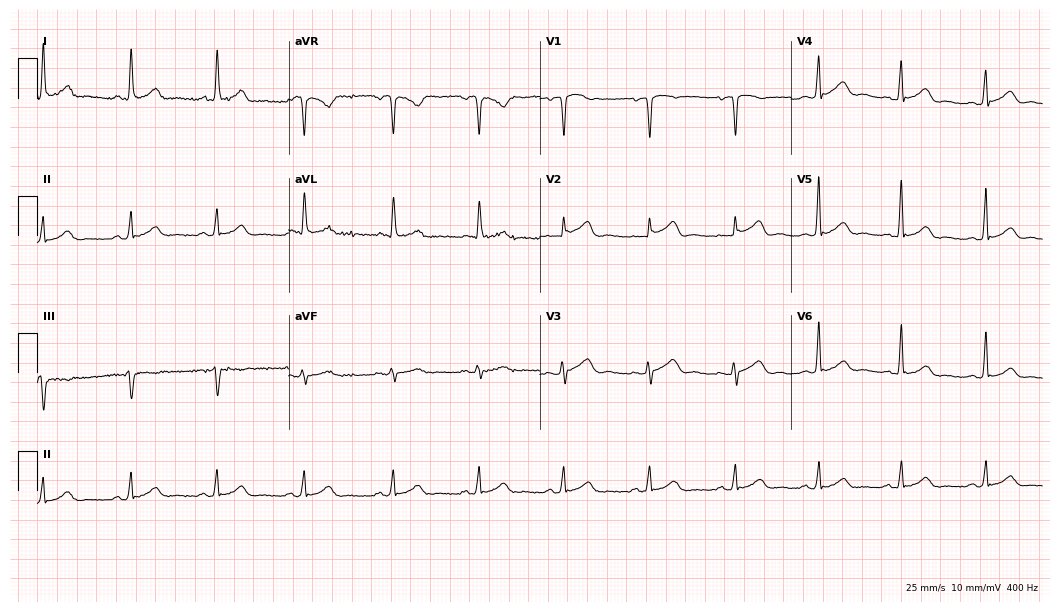
12-lead ECG from a female patient, 64 years old (10.2-second recording at 400 Hz). No first-degree AV block, right bundle branch block, left bundle branch block, sinus bradycardia, atrial fibrillation or sinus tachycardia recorded for this tracing. Other findings, if any, are not listed.